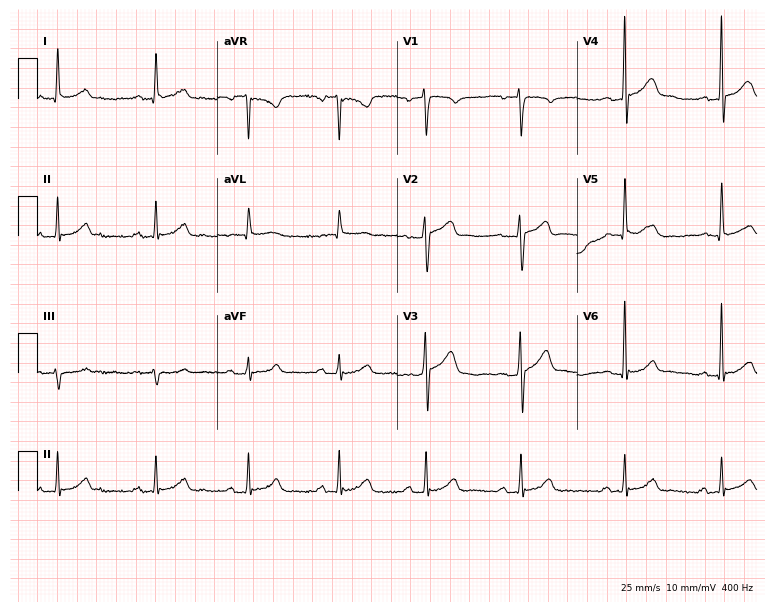
Standard 12-lead ECG recorded from a male patient, 55 years old (7.3-second recording at 400 Hz). Read as a normal ECG.